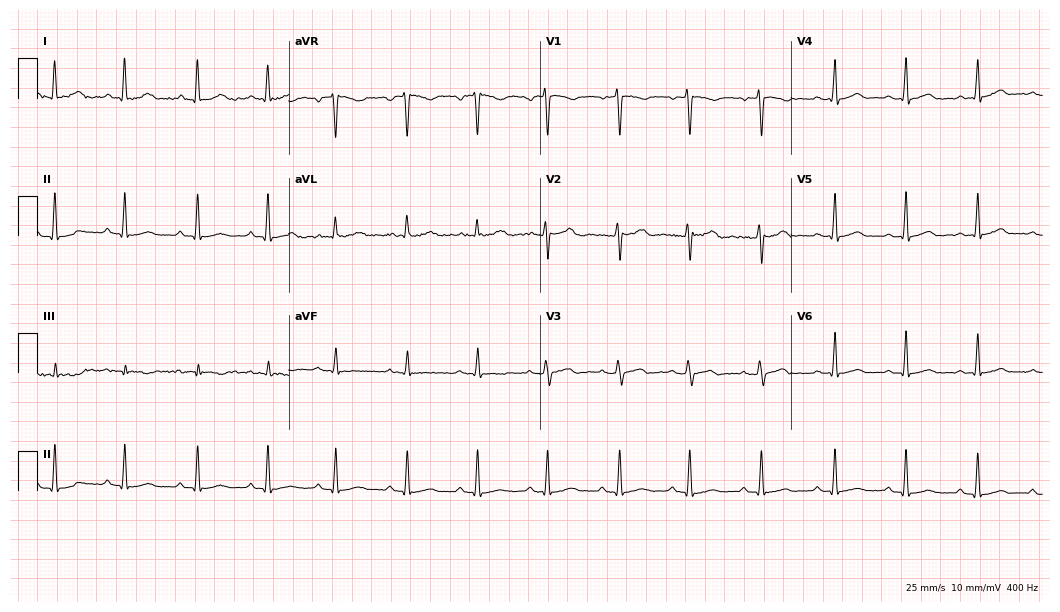
Resting 12-lead electrocardiogram (10.2-second recording at 400 Hz). Patient: a female, 26 years old. Read as a normal ECG.